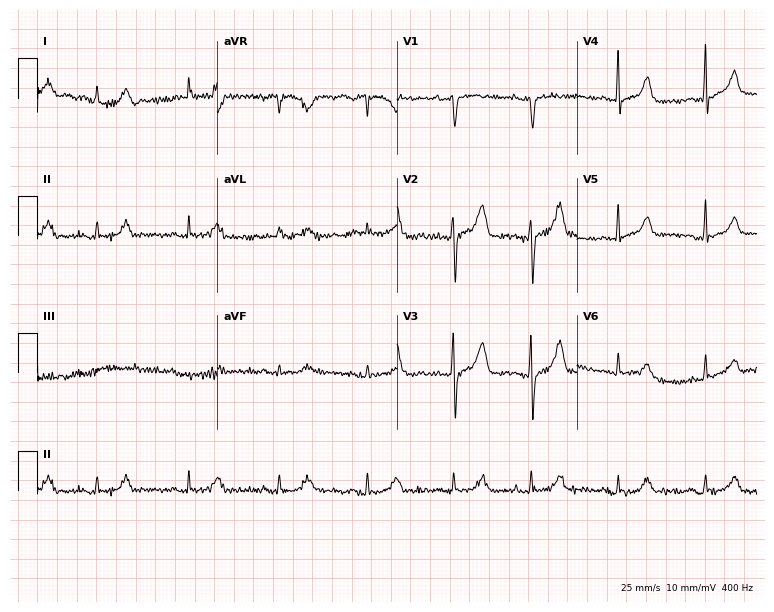
12-lead ECG from a woman, 82 years old (7.3-second recording at 400 Hz). No first-degree AV block, right bundle branch block (RBBB), left bundle branch block (LBBB), sinus bradycardia, atrial fibrillation (AF) or sinus tachycardia recorded for this tracing. Only these six findings were labelled.